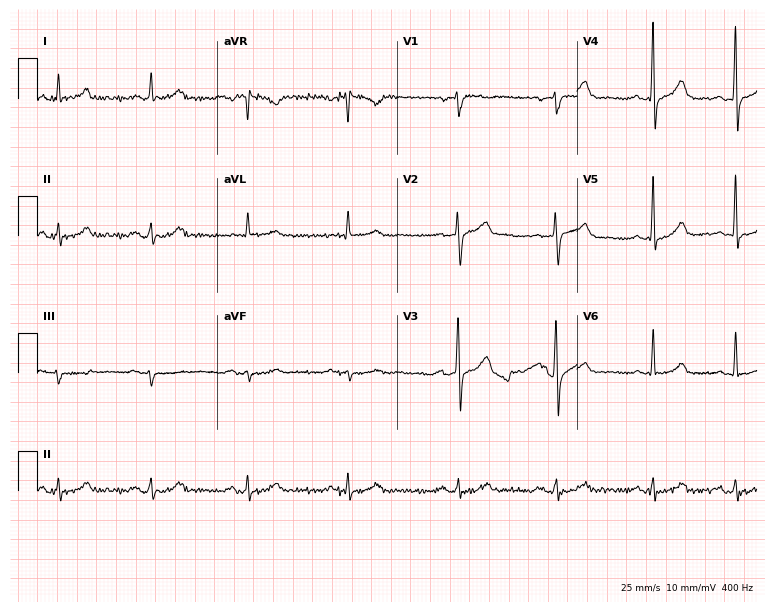
Standard 12-lead ECG recorded from a 69-year-old man. None of these six findings is recorded: first-degree AV block, right bundle branch block, left bundle branch block, sinus bradycardia, atrial fibrillation, sinus tachycardia.